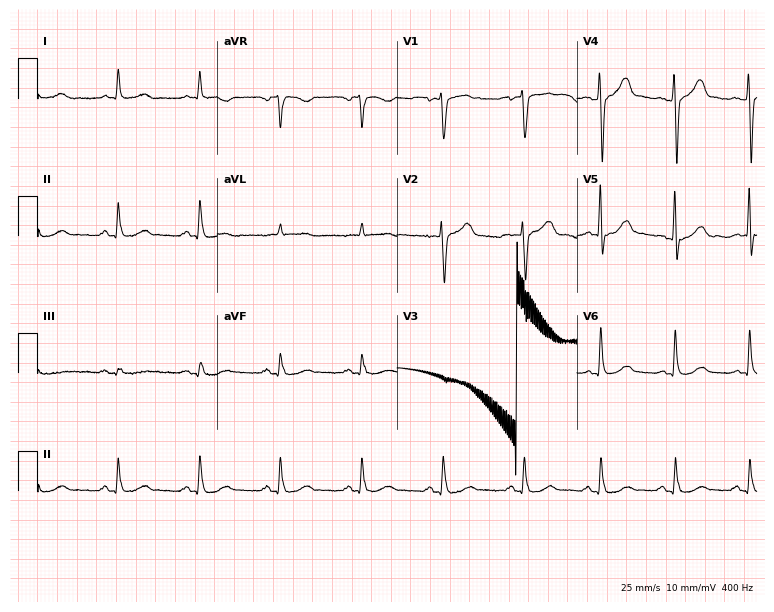
Resting 12-lead electrocardiogram. Patient: a 63-year-old male. Read as a normal ECG.